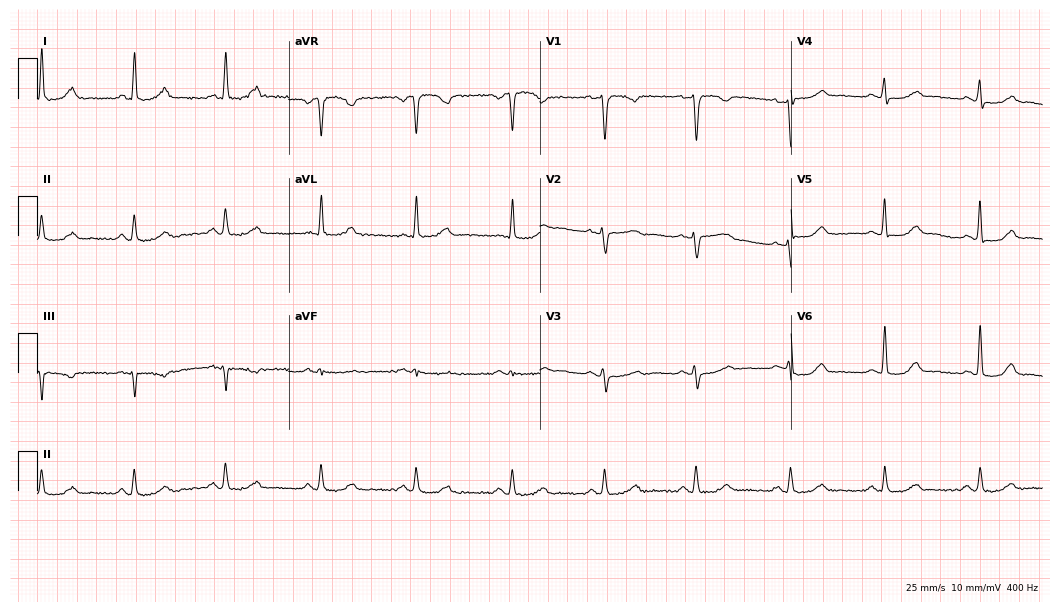
ECG — a 59-year-old female. Labelled as a normal ECG.